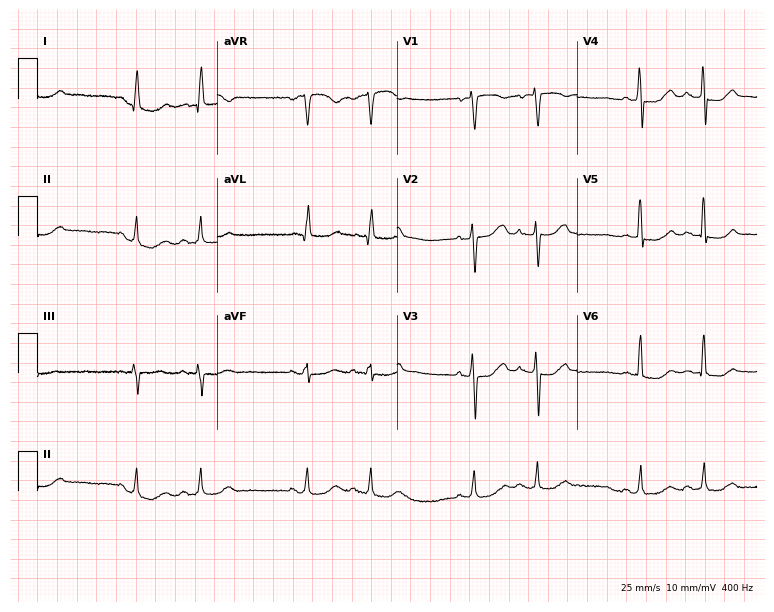
ECG (7.3-second recording at 400 Hz) — a woman, 75 years old. Screened for six findings — first-degree AV block, right bundle branch block, left bundle branch block, sinus bradycardia, atrial fibrillation, sinus tachycardia — none is recorded. Findings outside these six are not listed.